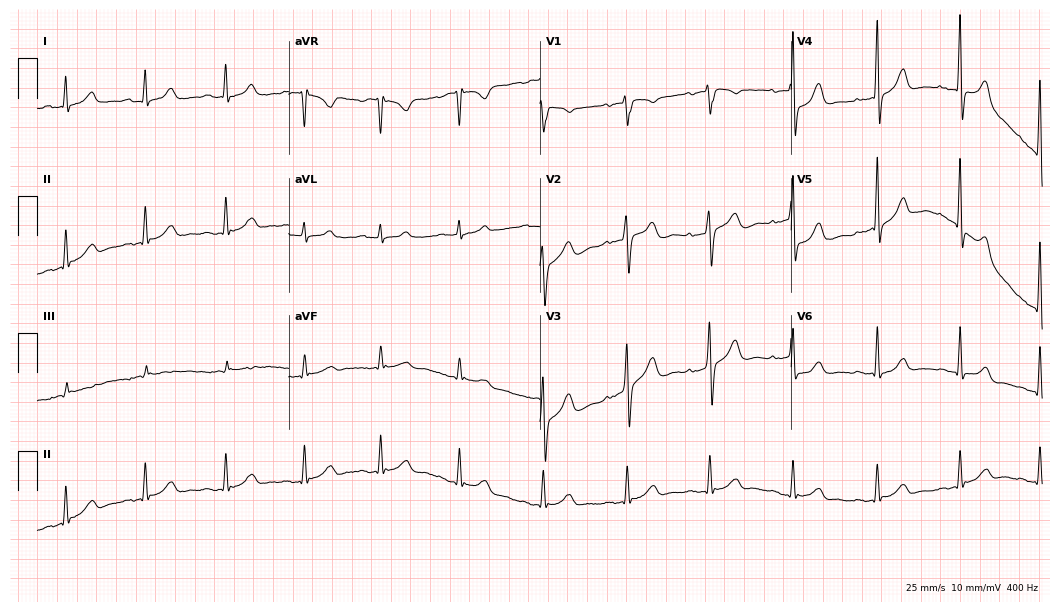
Standard 12-lead ECG recorded from a male patient, 46 years old (10.2-second recording at 400 Hz). Read as a normal ECG.